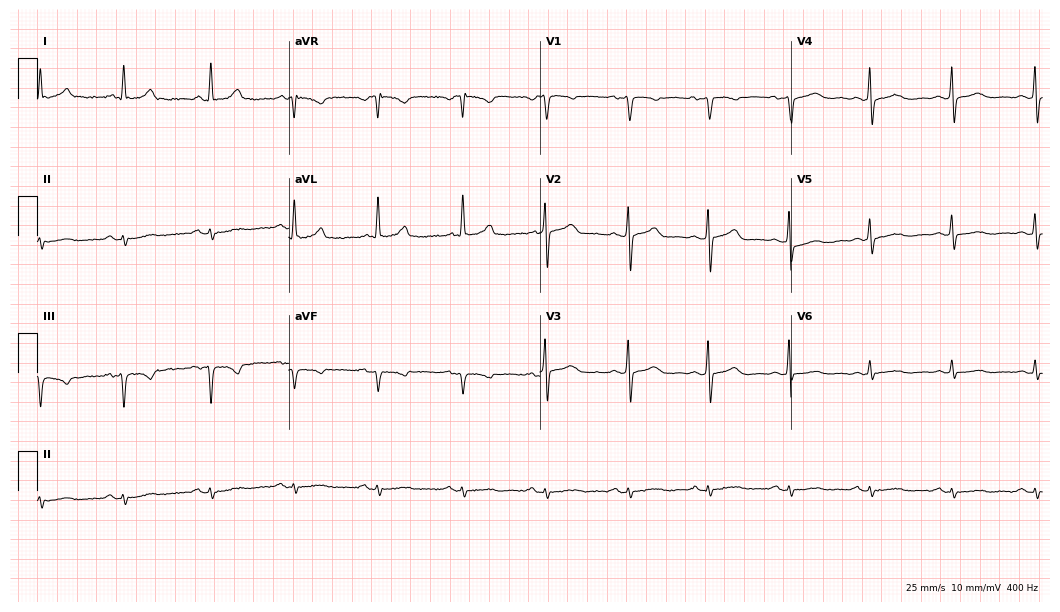
12-lead ECG (10.2-second recording at 400 Hz) from a male patient, 52 years old. Screened for six findings — first-degree AV block, right bundle branch block, left bundle branch block, sinus bradycardia, atrial fibrillation, sinus tachycardia — none is recorded.